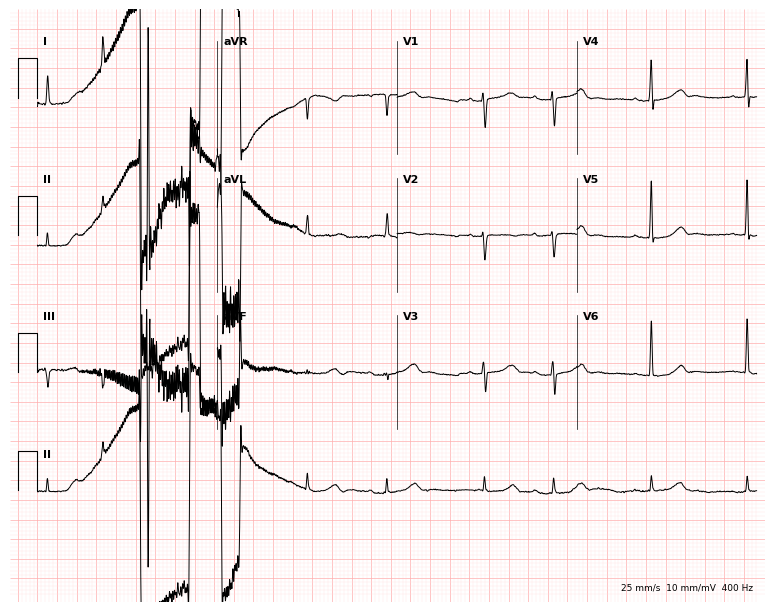
Resting 12-lead electrocardiogram. Patient: an 84-year-old female. None of these six findings is recorded: first-degree AV block, right bundle branch block, left bundle branch block, sinus bradycardia, atrial fibrillation, sinus tachycardia.